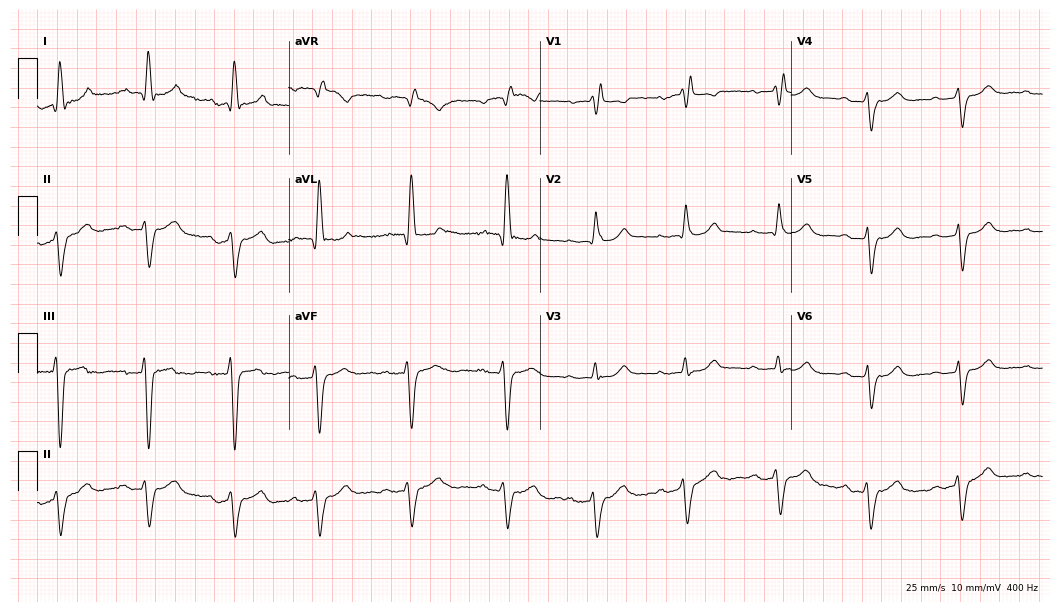
Resting 12-lead electrocardiogram. Patient: a 75-year-old female. The tracing shows first-degree AV block, right bundle branch block.